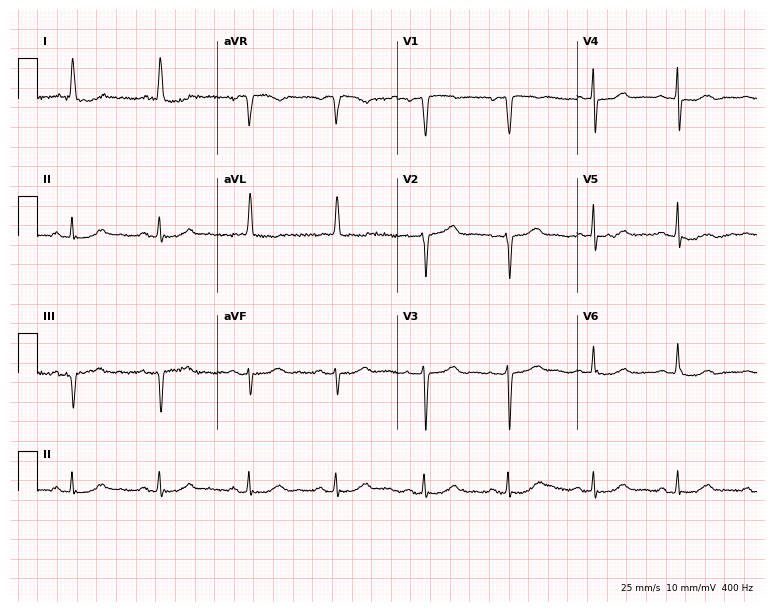
12-lead ECG from a female, 78 years old (7.3-second recording at 400 Hz). No first-degree AV block, right bundle branch block, left bundle branch block, sinus bradycardia, atrial fibrillation or sinus tachycardia recorded for this tracing.